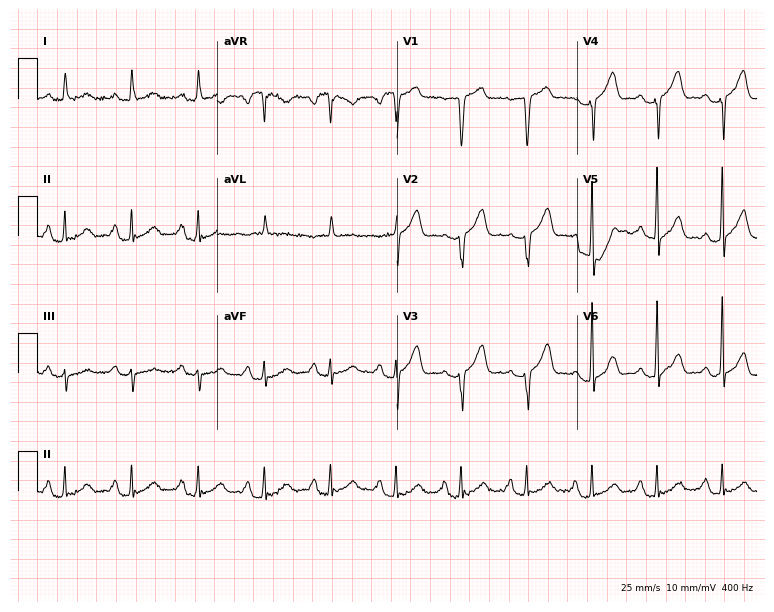
ECG — a female patient, 80 years old. Screened for six findings — first-degree AV block, right bundle branch block, left bundle branch block, sinus bradycardia, atrial fibrillation, sinus tachycardia — none is recorded. Findings outside these six are not listed.